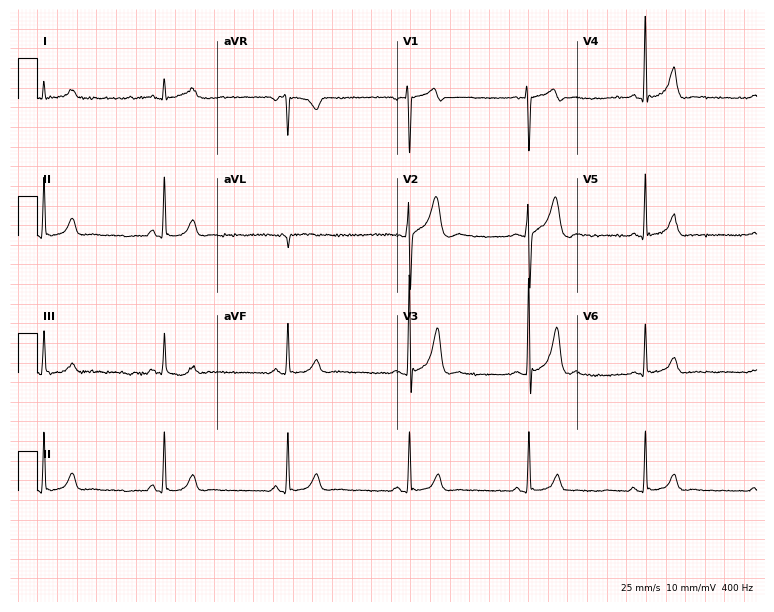
12-lead ECG from a man, 19 years old (7.3-second recording at 400 Hz). Shows sinus bradycardia (a sinus rate of 50 beats per minute or less).